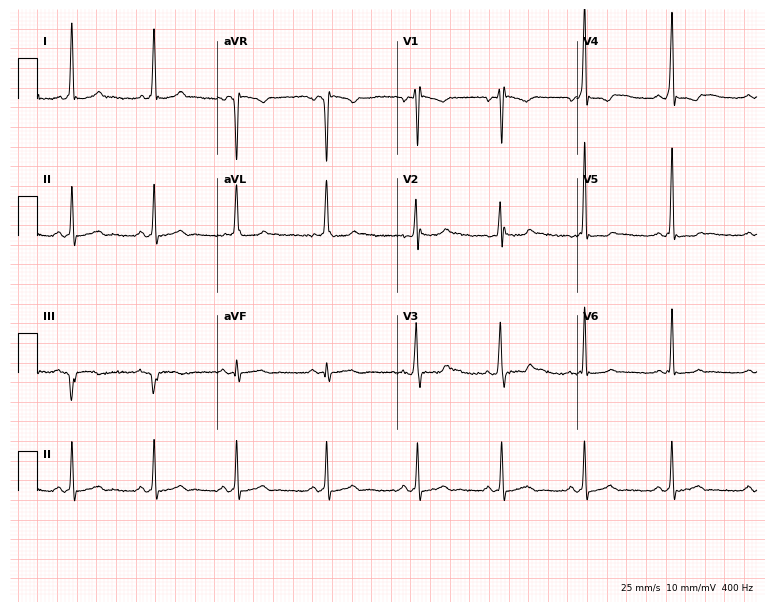
Electrocardiogram (7.3-second recording at 400 Hz), a man, 29 years old. Of the six screened findings (first-degree AV block, right bundle branch block (RBBB), left bundle branch block (LBBB), sinus bradycardia, atrial fibrillation (AF), sinus tachycardia), none is recorded.